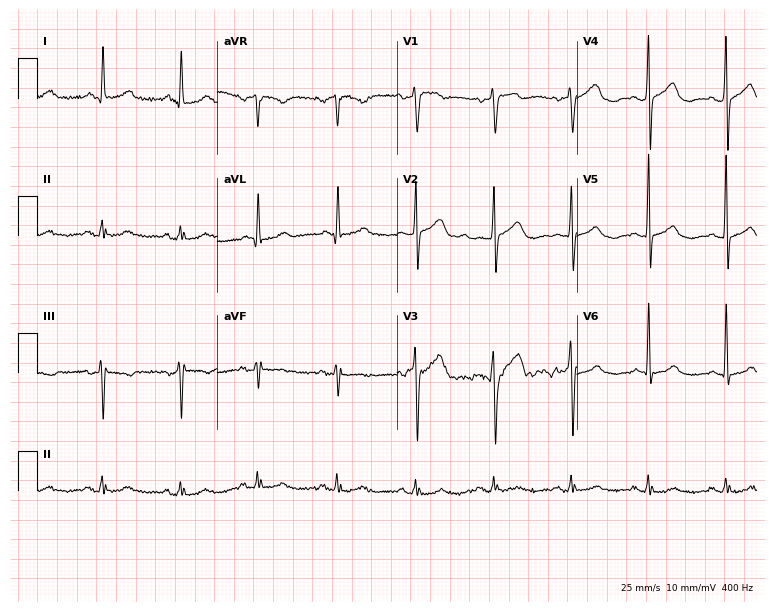
ECG — a male patient, 68 years old. Labelled as a normal ECG.